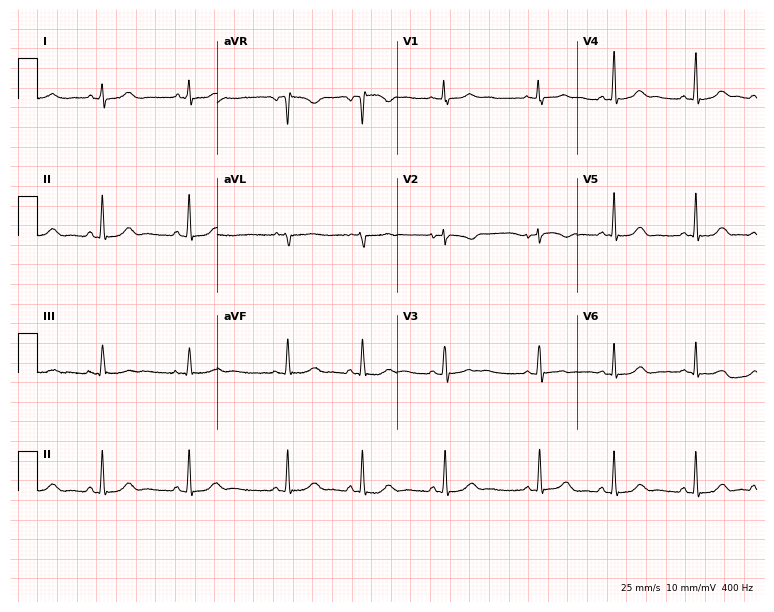
12-lead ECG from a 17-year-old woman. No first-degree AV block, right bundle branch block, left bundle branch block, sinus bradycardia, atrial fibrillation or sinus tachycardia recorded for this tracing.